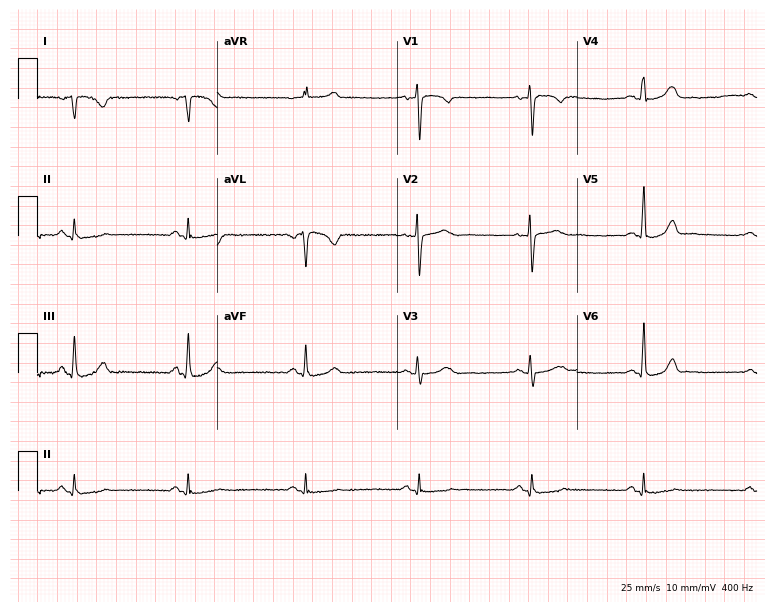
12-lead ECG from a 54-year-old female patient. No first-degree AV block, right bundle branch block (RBBB), left bundle branch block (LBBB), sinus bradycardia, atrial fibrillation (AF) or sinus tachycardia recorded for this tracing.